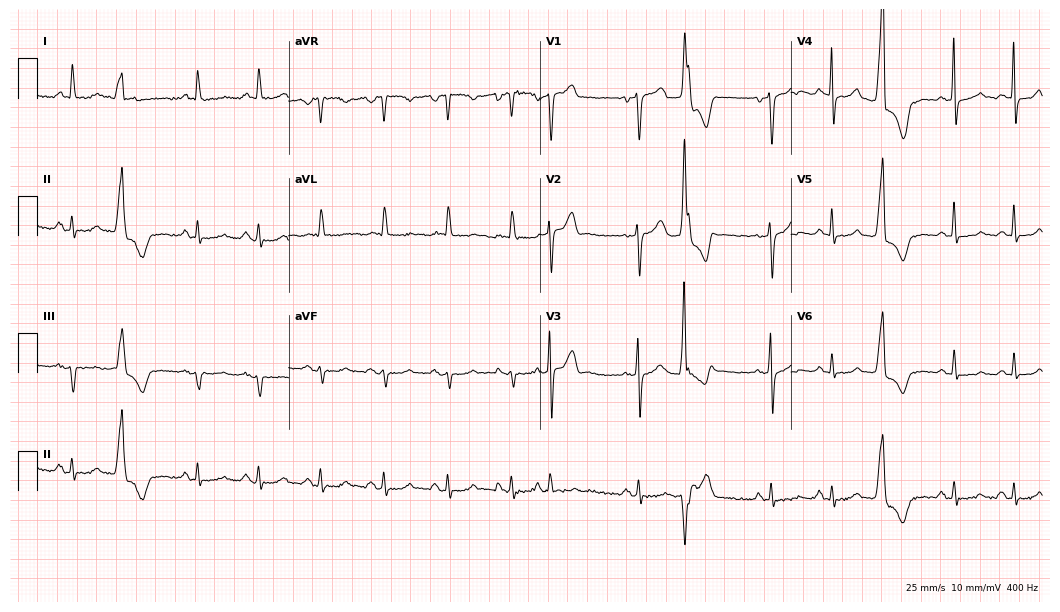
12-lead ECG from a female patient, 69 years old (10.2-second recording at 400 Hz). No first-degree AV block, right bundle branch block, left bundle branch block, sinus bradycardia, atrial fibrillation or sinus tachycardia recorded for this tracing. Other findings, if any, are not listed.